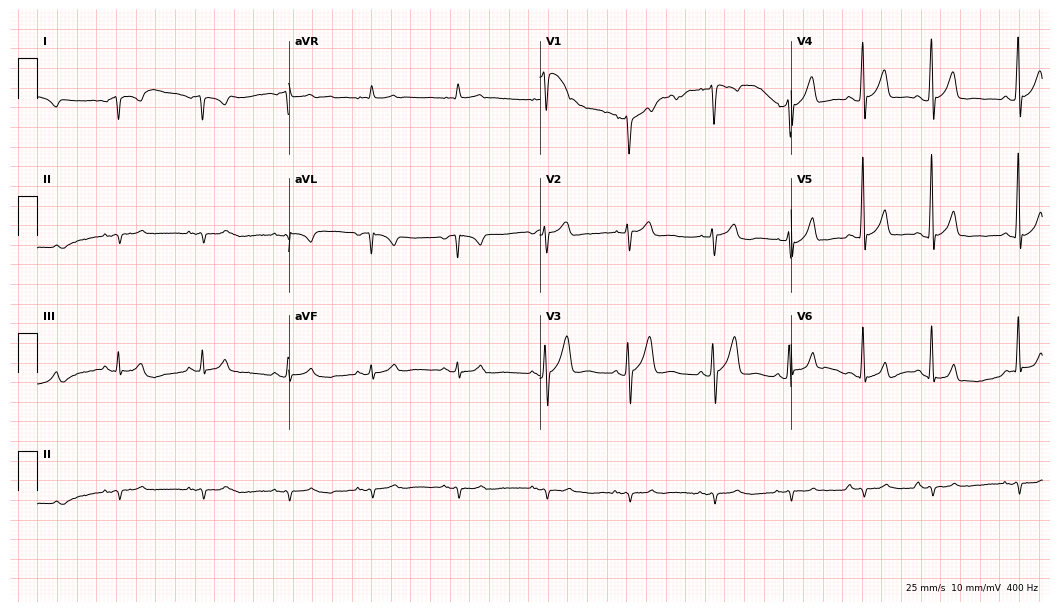
12-lead ECG from a man, 39 years old (10.2-second recording at 400 Hz). No first-degree AV block, right bundle branch block (RBBB), left bundle branch block (LBBB), sinus bradycardia, atrial fibrillation (AF) or sinus tachycardia recorded for this tracing.